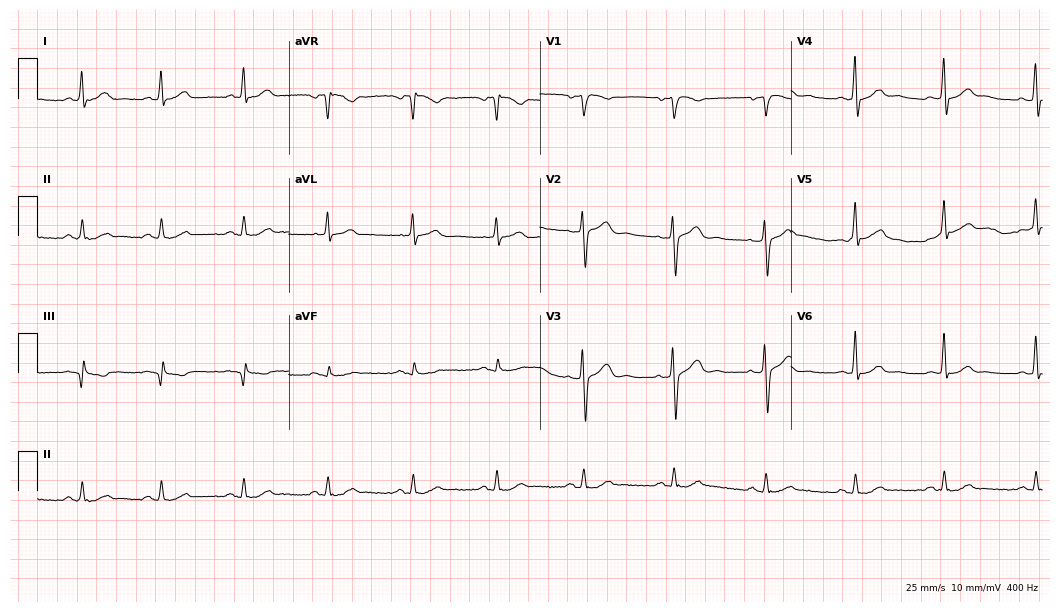
Standard 12-lead ECG recorded from a male, 48 years old. Read as a normal ECG.